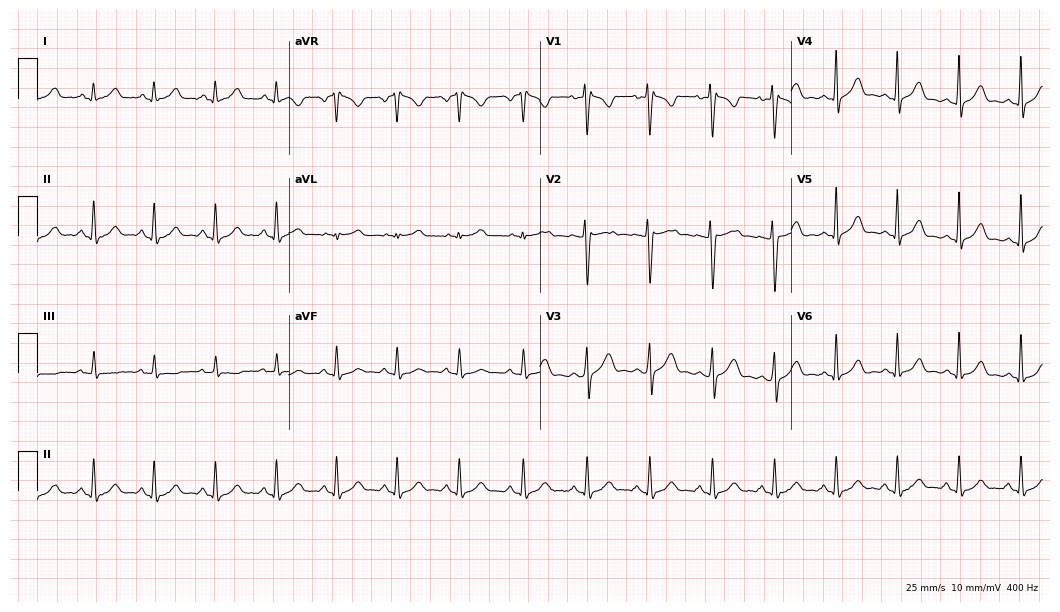
Standard 12-lead ECG recorded from a female patient, 20 years old (10.2-second recording at 400 Hz). None of these six findings is recorded: first-degree AV block, right bundle branch block, left bundle branch block, sinus bradycardia, atrial fibrillation, sinus tachycardia.